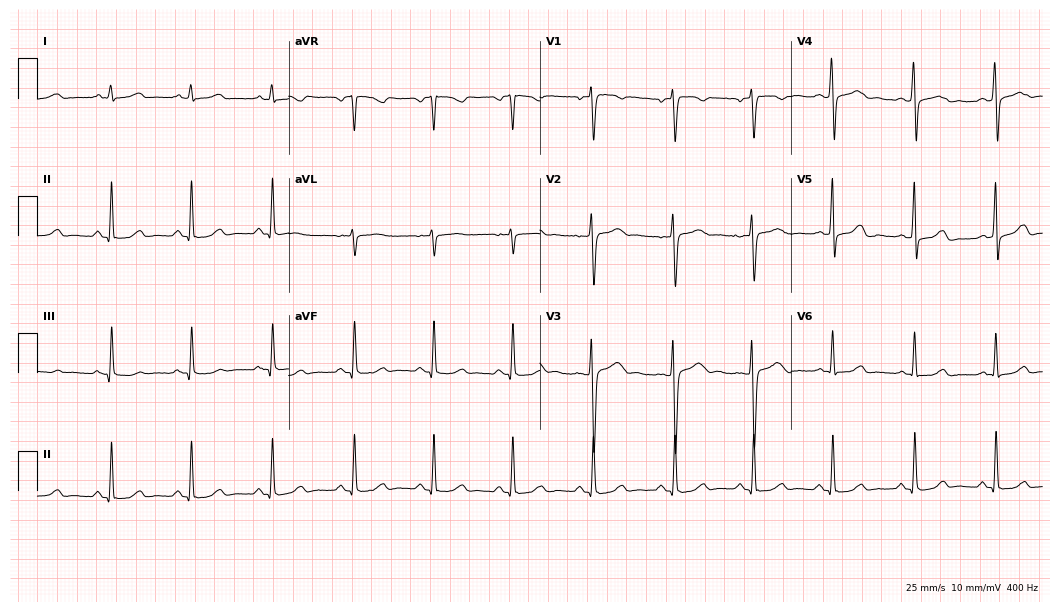
12-lead ECG (10.2-second recording at 400 Hz) from a 34-year-old female patient. Labelled as a normal ECG.